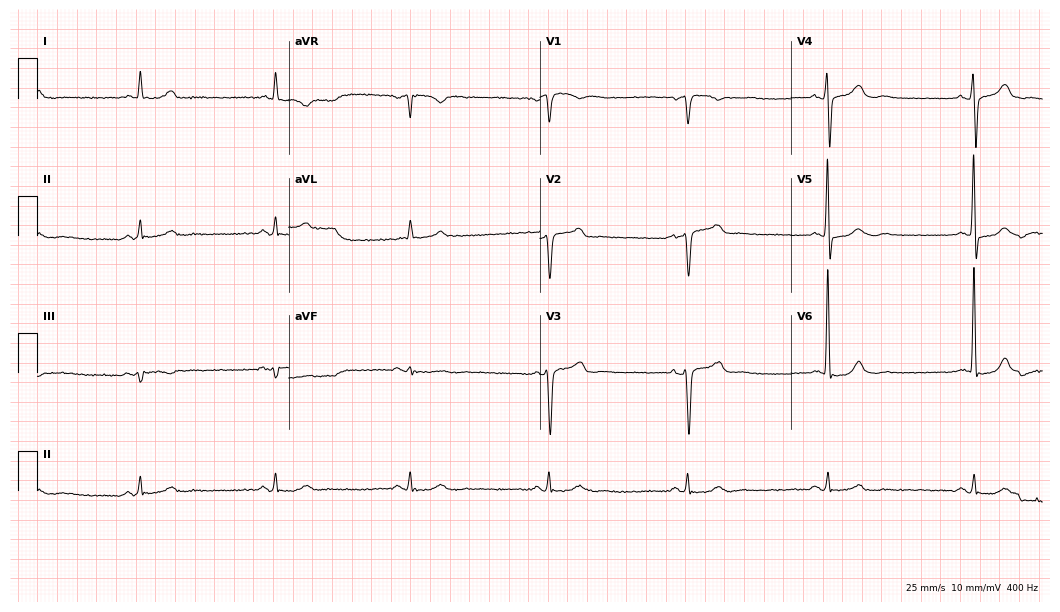
12-lead ECG from a man, 71 years old (10.2-second recording at 400 Hz). Shows sinus bradycardia (a sinus rate of 50 beats per minute or less).